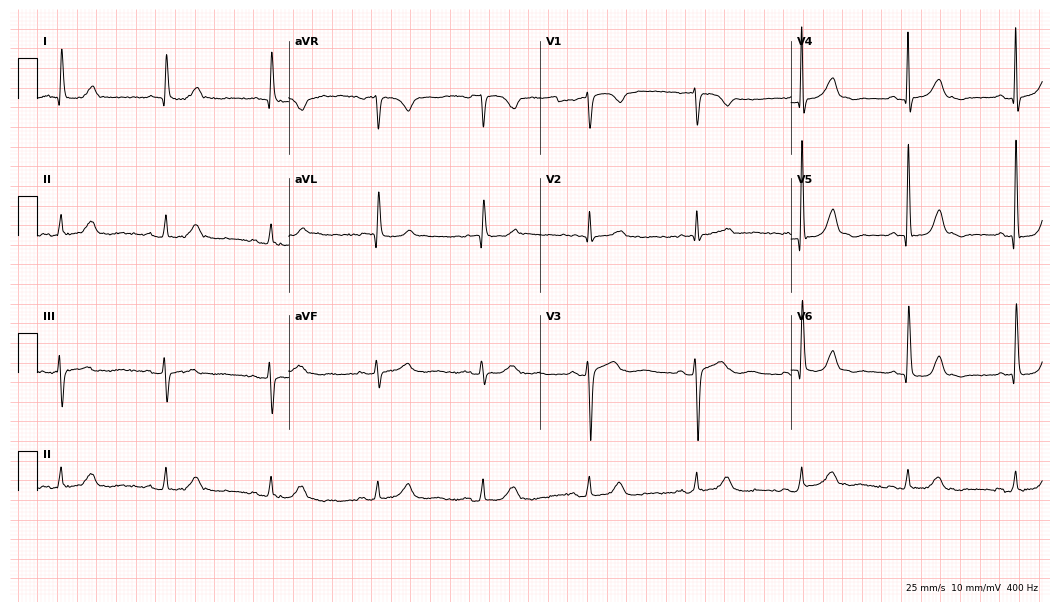
Electrocardiogram (10.2-second recording at 400 Hz), a 76-year-old female patient. Overall reading on record: normal ECG.